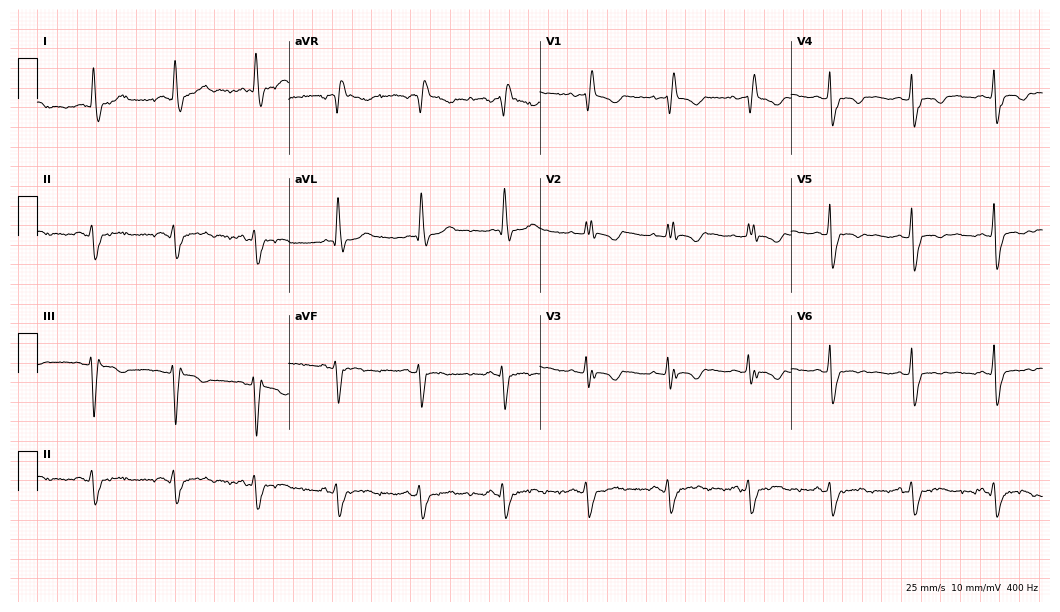
Resting 12-lead electrocardiogram (10.2-second recording at 400 Hz). Patient: a 63-year-old female. None of these six findings is recorded: first-degree AV block, right bundle branch block (RBBB), left bundle branch block (LBBB), sinus bradycardia, atrial fibrillation (AF), sinus tachycardia. Other findings, if any, are not listed.